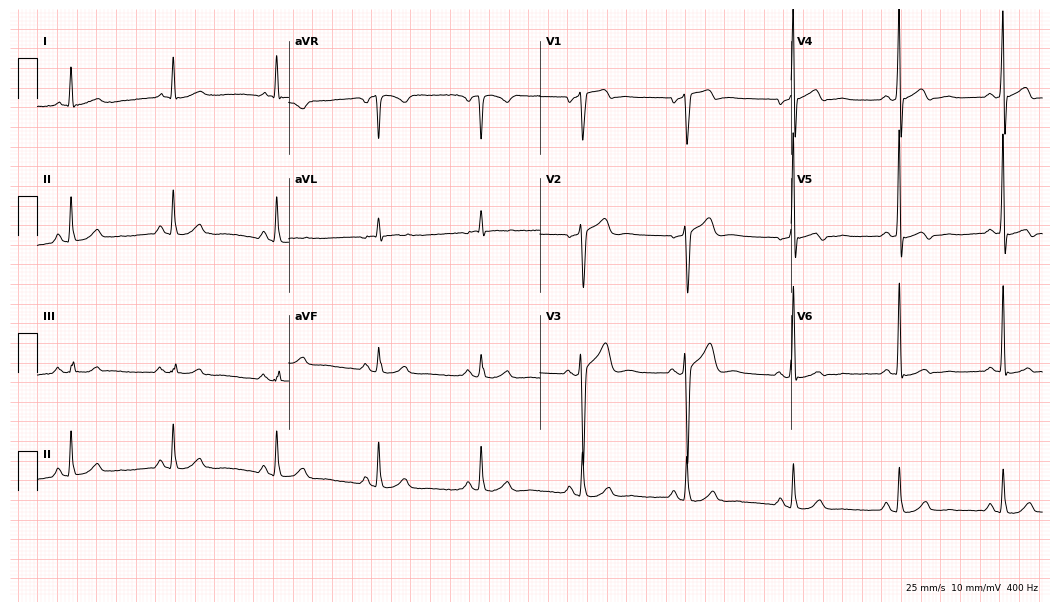
ECG — a man, 50 years old. Screened for six findings — first-degree AV block, right bundle branch block, left bundle branch block, sinus bradycardia, atrial fibrillation, sinus tachycardia — none is recorded. Only these six findings were labelled.